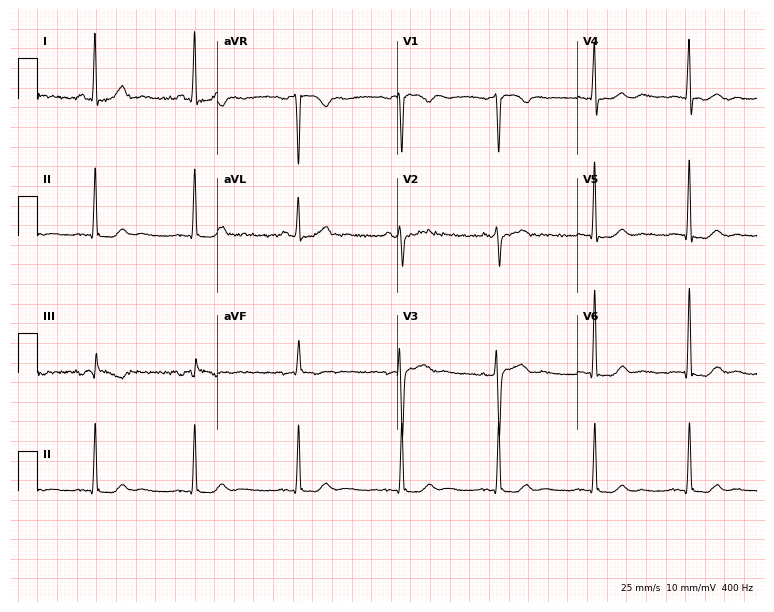
12-lead ECG (7.3-second recording at 400 Hz) from a 41-year-old female. Labelled as a normal ECG.